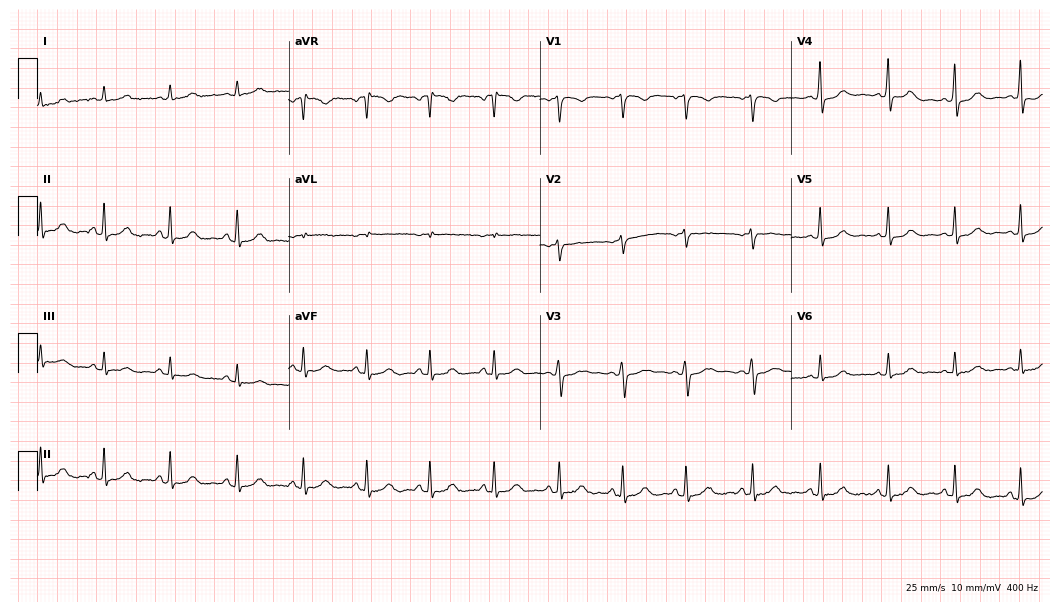
Resting 12-lead electrocardiogram (10.2-second recording at 400 Hz). Patient: a 38-year-old female. None of these six findings is recorded: first-degree AV block, right bundle branch block (RBBB), left bundle branch block (LBBB), sinus bradycardia, atrial fibrillation (AF), sinus tachycardia.